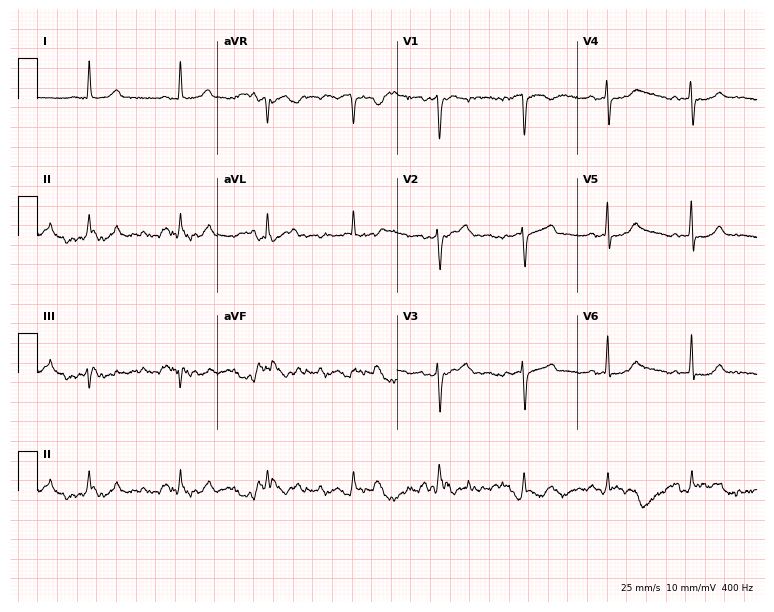
Standard 12-lead ECG recorded from a 60-year-old woman (7.3-second recording at 400 Hz). None of these six findings is recorded: first-degree AV block, right bundle branch block, left bundle branch block, sinus bradycardia, atrial fibrillation, sinus tachycardia. Only these six findings were labelled.